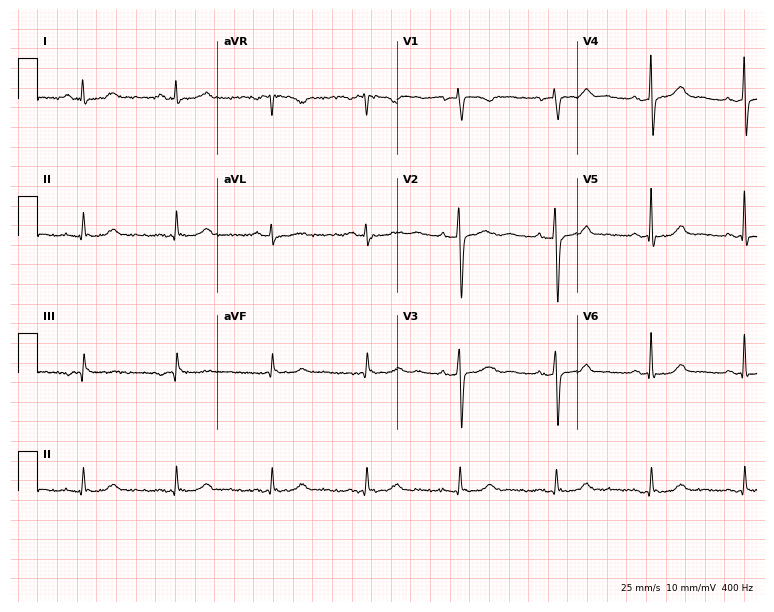
ECG — a 57-year-old woman. Labelled as a normal ECG.